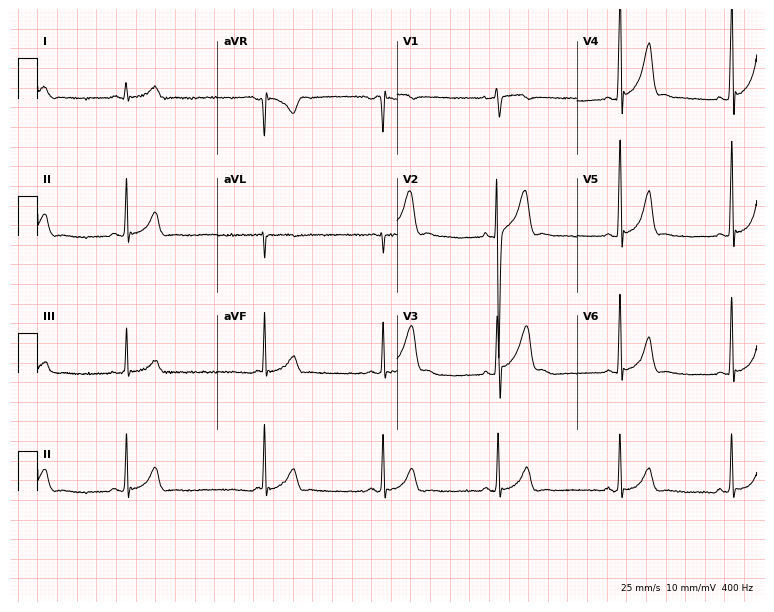
Resting 12-lead electrocardiogram. Patient: a 20-year-old man. None of these six findings is recorded: first-degree AV block, right bundle branch block, left bundle branch block, sinus bradycardia, atrial fibrillation, sinus tachycardia. Only these six findings were labelled.